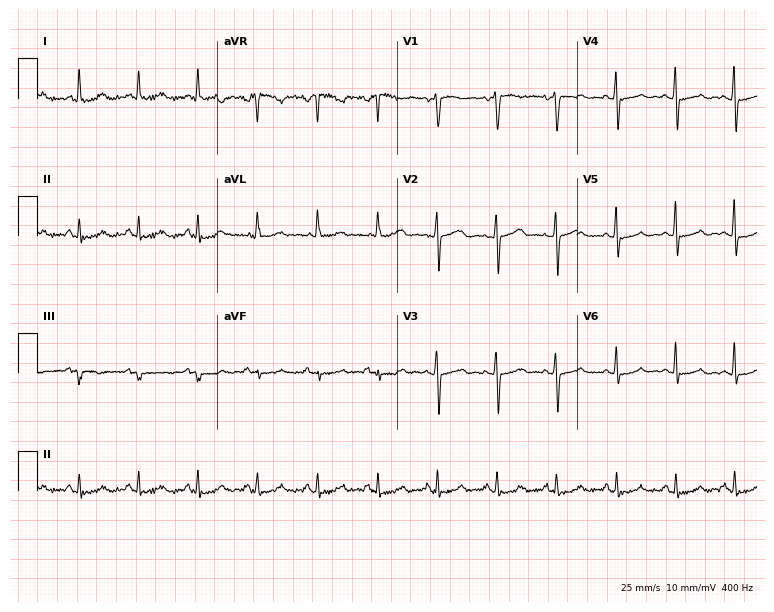
12-lead ECG from a 53-year-old woman. No first-degree AV block, right bundle branch block, left bundle branch block, sinus bradycardia, atrial fibrillation or sinus tachycardia recorded for this tracing. Findings outside these six are not listed.